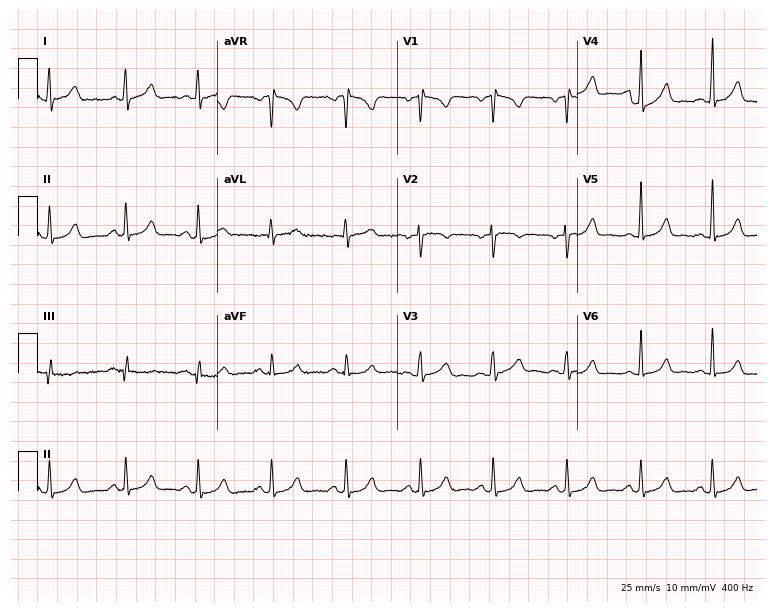
Electrocardiogram, a 29-year-old woman. Overall reading on record: normal ECG.